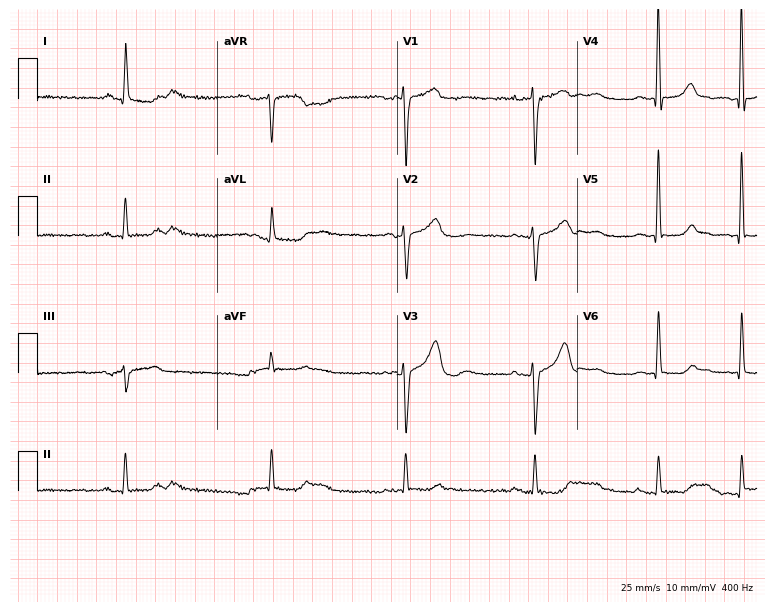
12-lead ECG (7.3-second recording at 400 Hz) from a 79-year-old woman. Findings include sinus bradycardia (a sinus rate of 50 beats per minute or less).